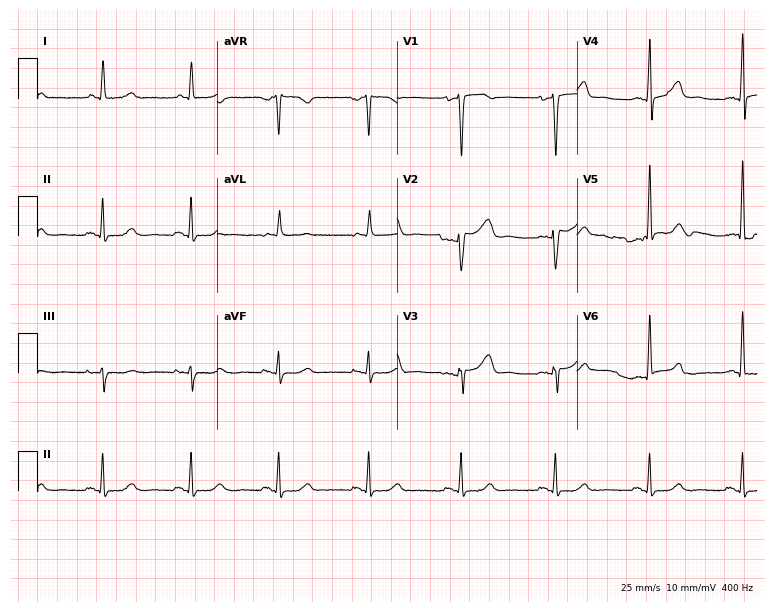
Electrocardiogram (7.3-second recording at 400 Hz), a 64-year-old female. Overall reading on record: normal ECG.